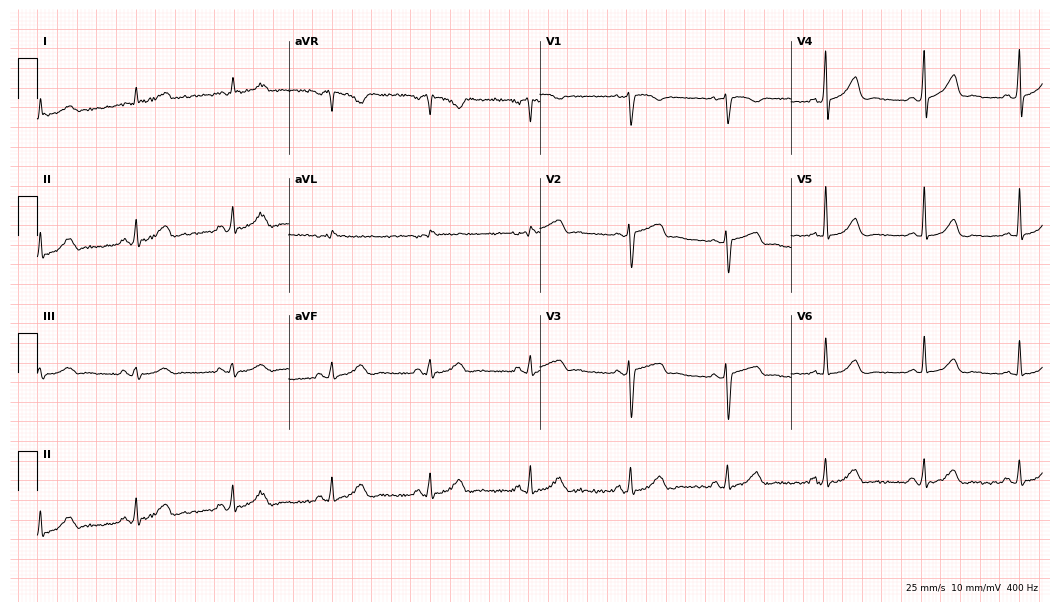
ECG — a 52-year-old woman. Labelled as a normal ECG.